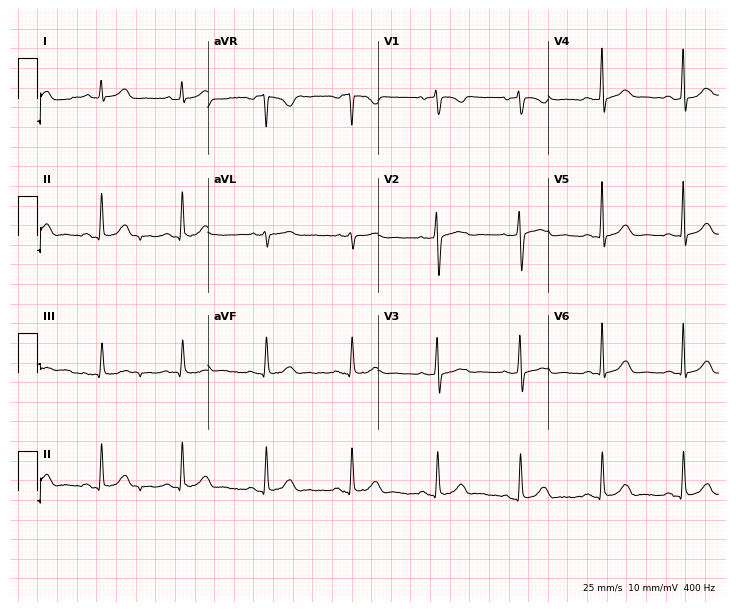
12-lead ECG from a woman, 45 years old (6.9-second recording at 400 Hz). No first-degree AV block, right bundle branch block, left bundle branch block, sinus bradycardia, atrial fibrillation or sinus tachycardia recorded for this tracing. Only these six findings were labelled.